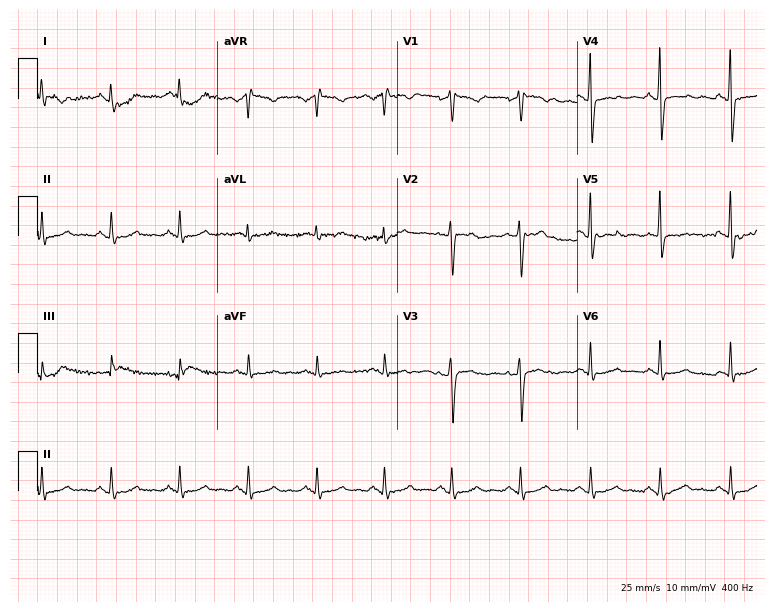
Standard 12-lead ECG recorded from a female patient, 45 years old (7.3-second recording at 400 Hz). None of these six findings is recorded: first-degree AV block, right bundle branch block, left bundle branch block, sinus bradycardia, atrial fibrillation, sinus tachycardia. Findings outside these six are not listed.